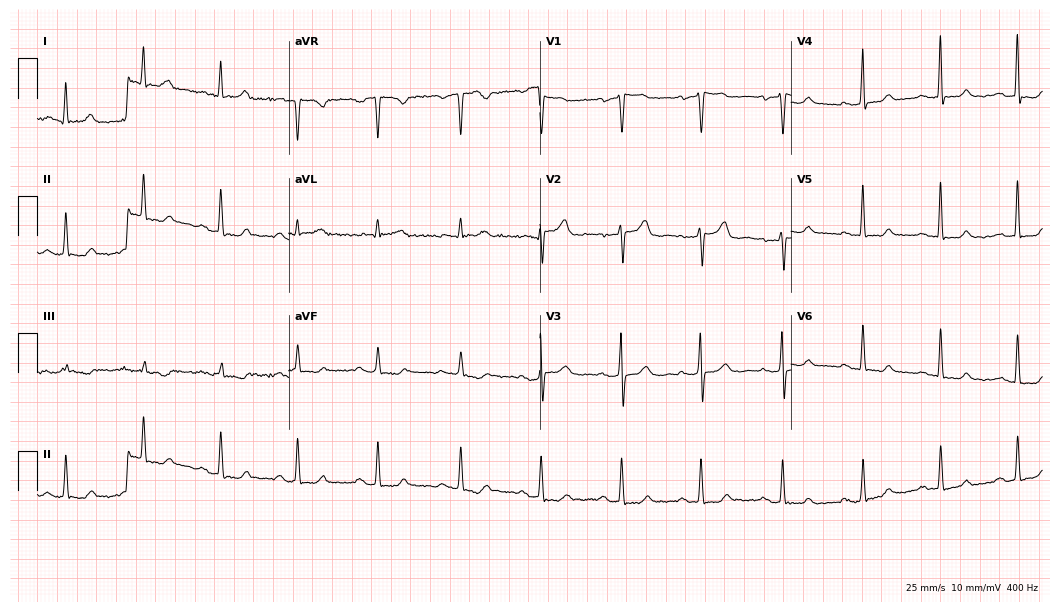
12-lead ECG from a female, 51 years old (10.2-second recording at 400 Hz). Recorded interpretation: within normal limits.